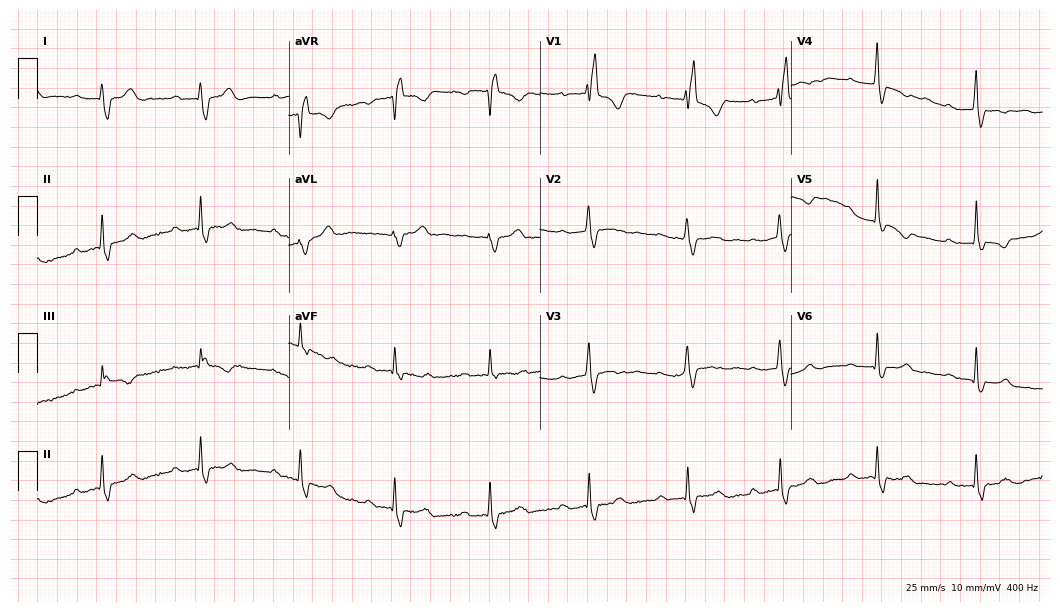
12-lead ECG (10.2-second recording at 400 Hz) from a woman, 27 years old. Findings include first-degree AV block, right bundle branch block.